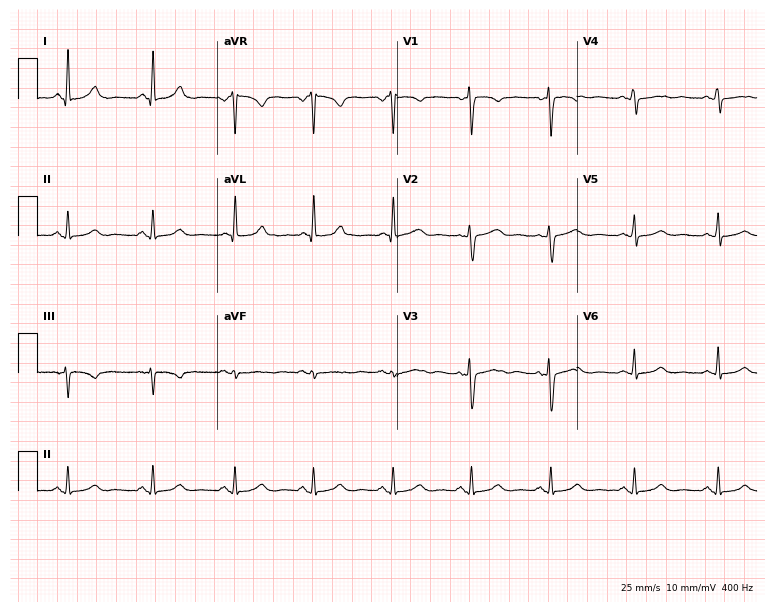
12-lead ECG from a woman, 51 years old. Recorded interpretation: within normal limits.